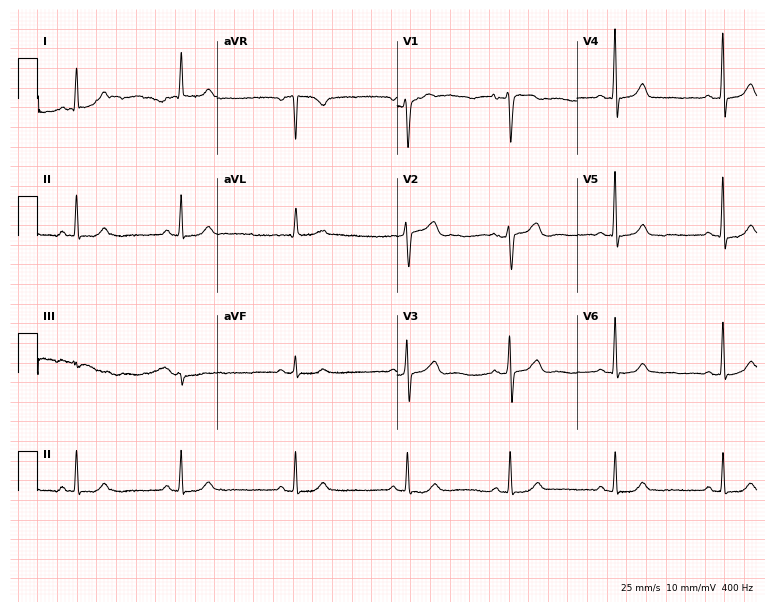
12-lead ECG (7.3-second recording at 400 Hz) from a 62-year-old woman. Labelled as a normal ECG.